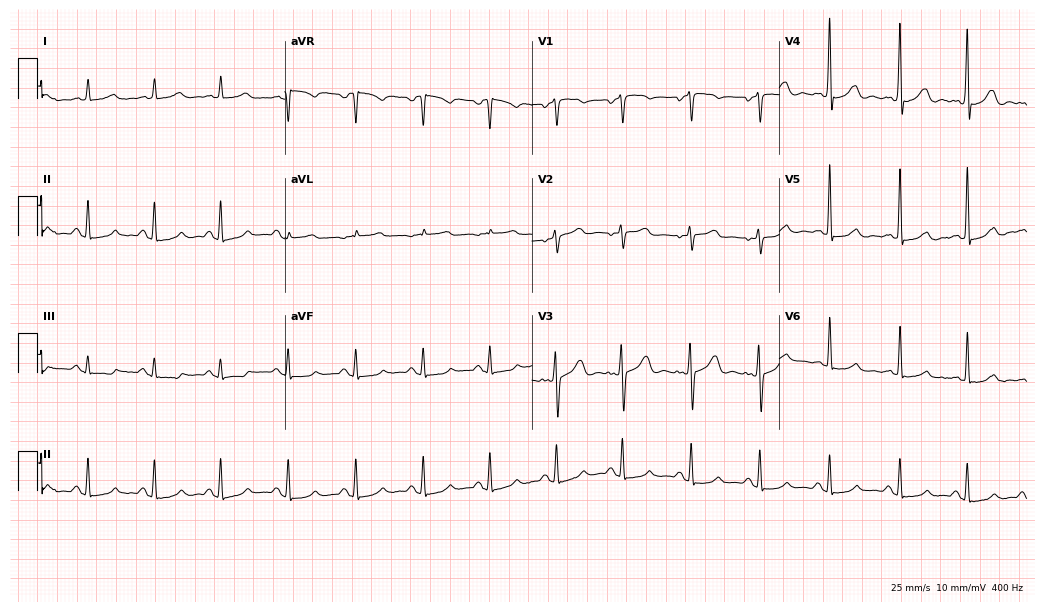
12-lead ECG from a 71-year-old woman. Recorded interpretation: within normal limits.